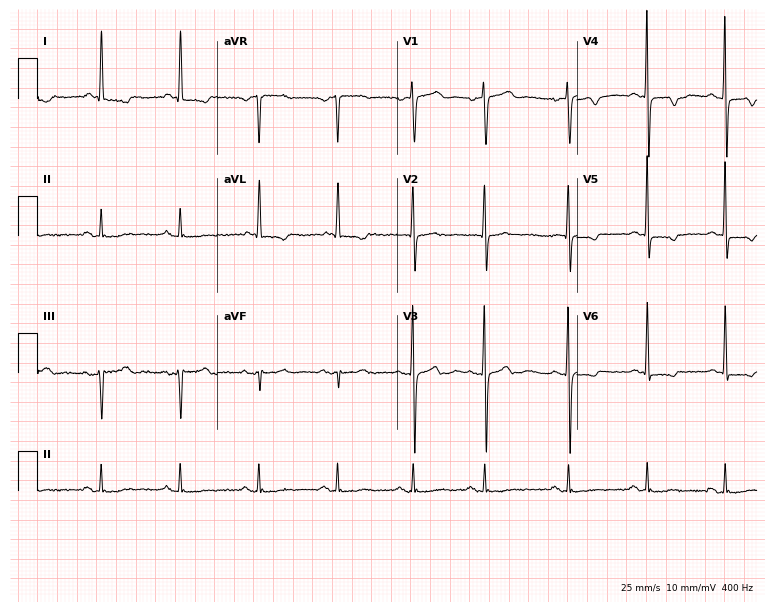
12-lead ECG from an 81-year-old female patient. Screened for six findings — first-degree AV block, right bundle branch block (RBBB), left bundle branch block (LBBB), sinus bradycardia, atrial fibrillation (AF), sinus tachycardia — none is recorded.